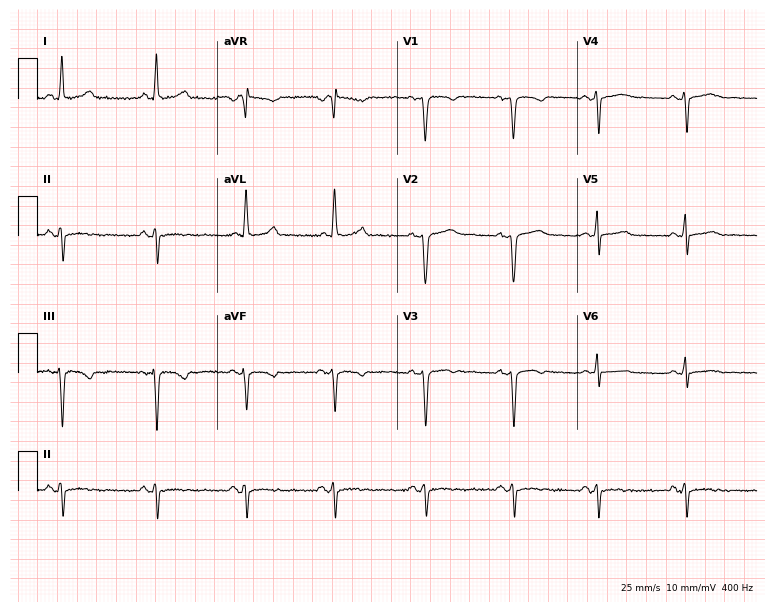
Resting 12-lead electrocardiogram. Patient: a 34-year-old female. None of these six findings is recorded: first-degree AV block, right bundle branch block, left bundle branch block, sinus bradycardia, atrial fibrillation, sinus tachycardia.